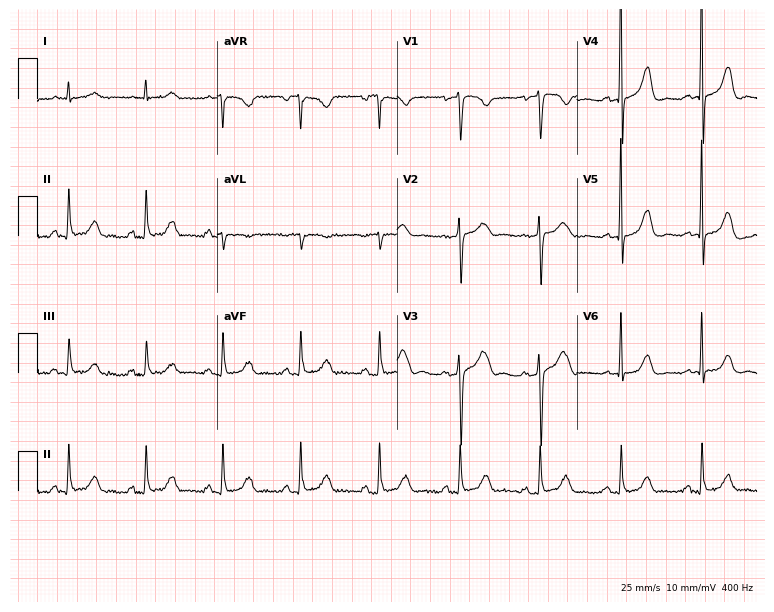
Electrocardiogram, a 74-year-old woman. Overall reading on record: normal ECG.